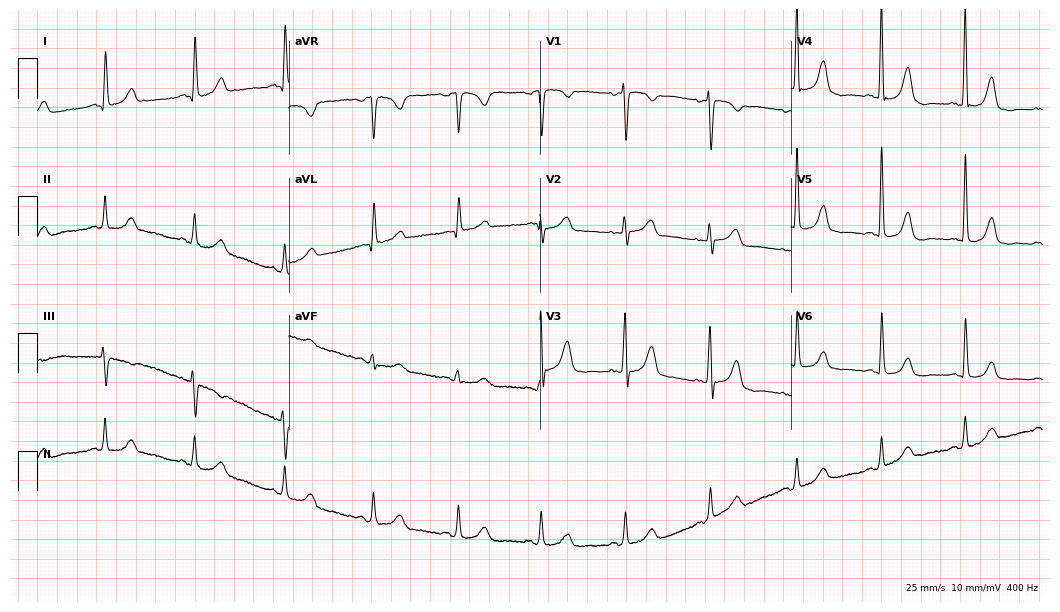
12-lead ECG from a 72-year-old female (10.2-second recording at 400 Hz). No first-degree AV block, right bundle branch block, left bundle branch block, sinus bradycardia, atrial fibrillation or sinus tachycardia recorded for this tracing.